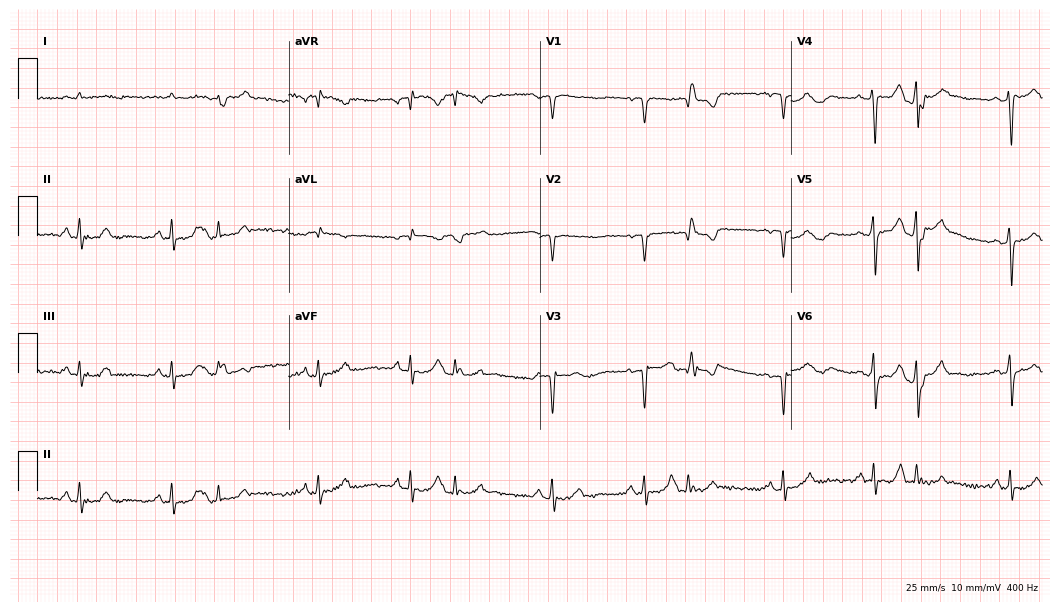
Electrocardiogram, an 82-year-old male. Of the six screened findings (first-degree AV block, right bundle branch block, left bundle branch block, sinus bradycardia, atrial fibrillation, sinus tachycardia), none is recorded. Other findings, if any, are not listed.